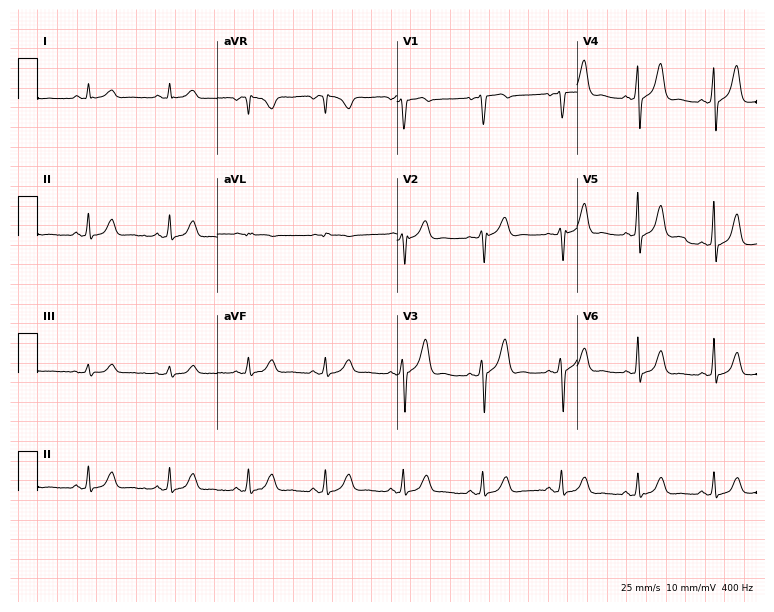
Resting 12-lead electrocardiogram. Patient: a male, 35 years old. None of these six findings is recorded: first-degree AV block, right bundle branch block (RBBB), left bundle branch block (LBBB), sinus bradycardia, atrial fibrillation (AF), sinus tachycardia. Only these six findings were labelled.